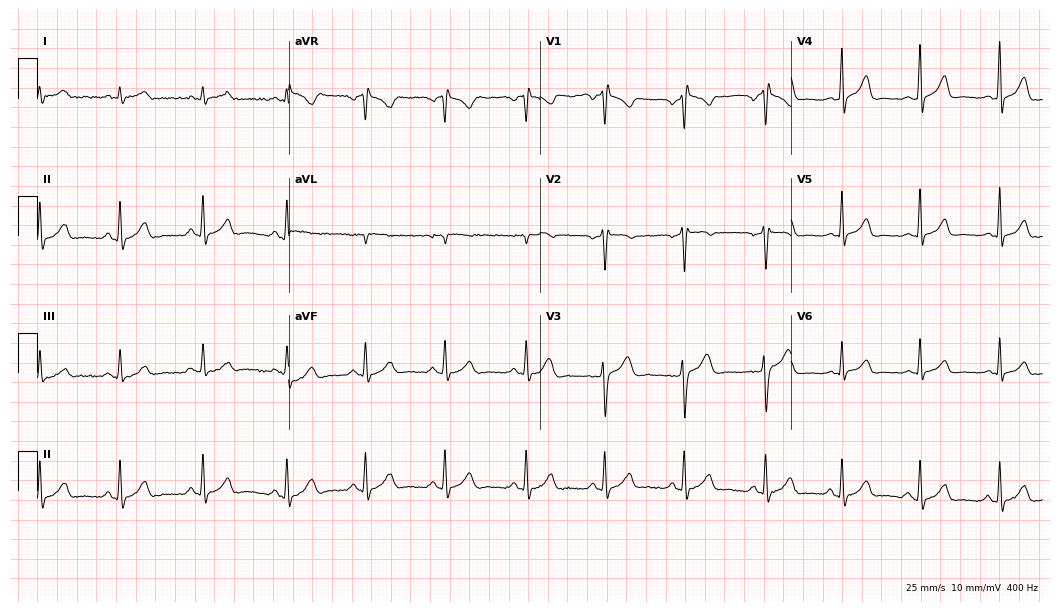
Standard 12-lead ECG recorded from a 26-year-old male patient. None of these six findings is recorded: first-degree AV block, right bundle branch block (RBBB), left bundle branch block (LBBB), sinus bradycardia, atrial fibrillation (AF), sinus tachycardia.